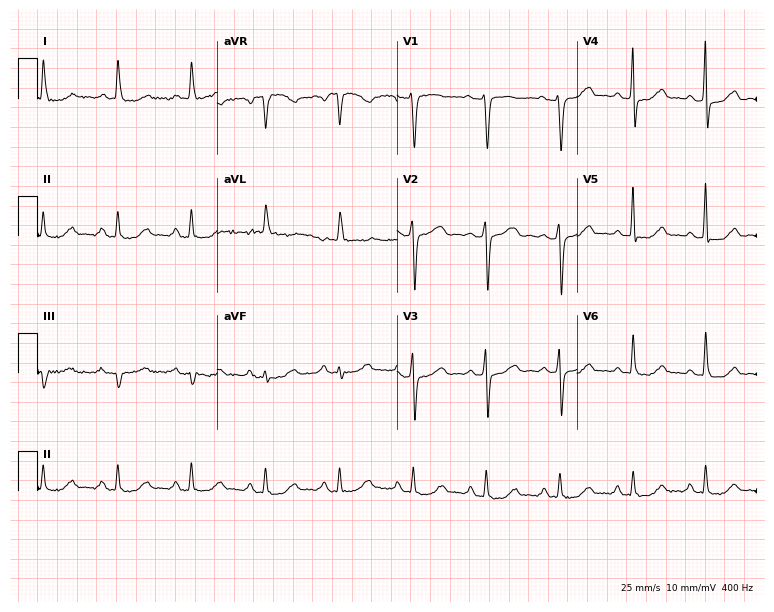
12-lead ECG from a 55-year-old female patient (7.3-second recording at 400 Hz). No first-degree AV block, right bundle branch block (RBBB), left bundle branch block (LBBB), sinus bradycardia, atrial fibrillation (AF) or sinus tachycardia recorded for this tracing.